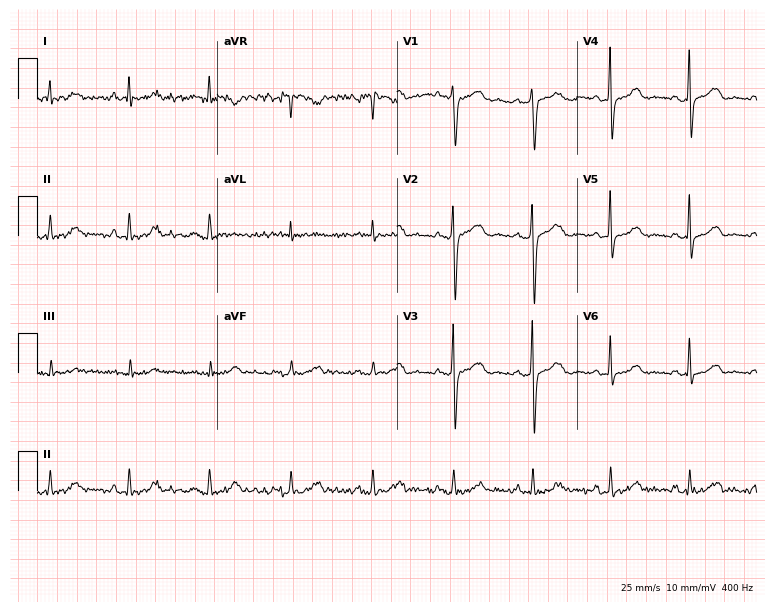
Electrocardiogram, a female patient, 62 years old. Overall reading on record: normal ECG.